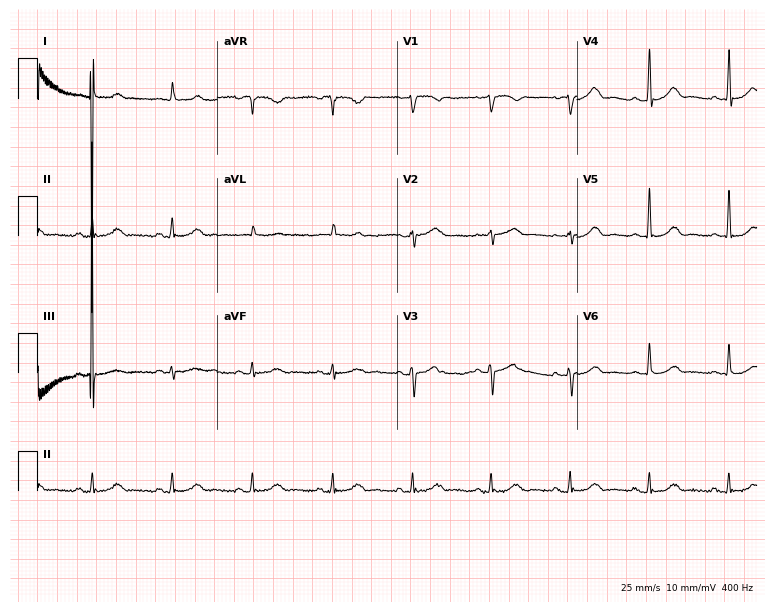
Resting 12-lead electrocardiogram. Patient: a 77-year-old female. Read as a normal ECG.